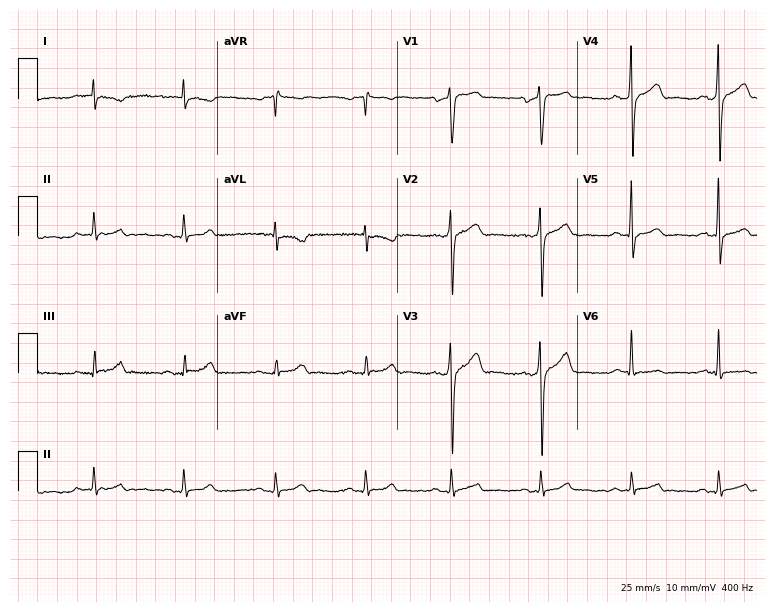
ECG — a 57-year-old man. Labelled as a normal ECG.